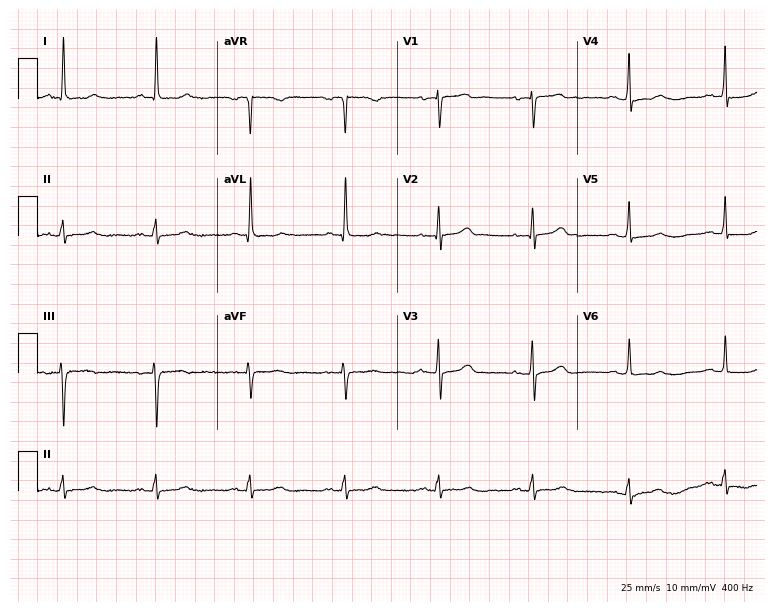
12-lead ECG (7.3-second recording at 400 Hz) from a 70-year-old female patient. Screened for six findings — first-degree AV block, right bundle branch block, left bundle branch block, sinus bradycardia, atrial fibrillation, sinus tachycardia — none is recorded. Other findings, if any, are not listed.